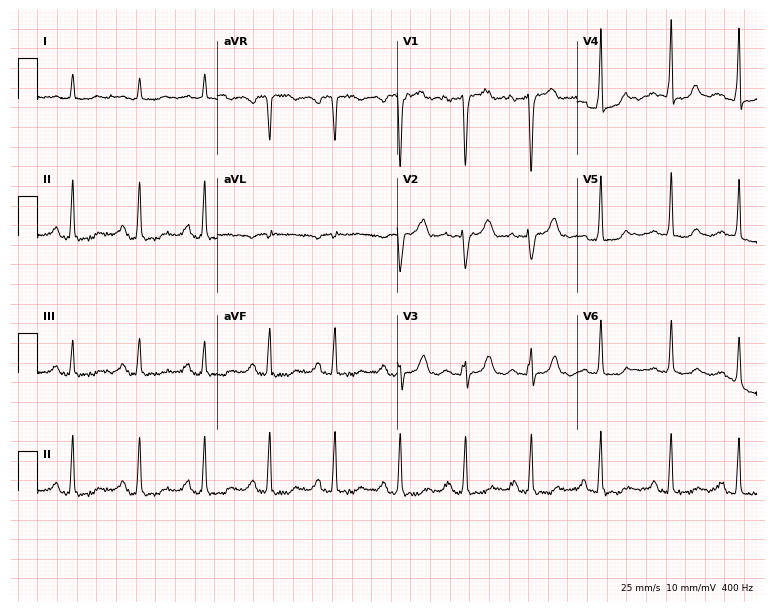
Resting 12-lead electrocardiogram (7.3-second recording at 400 Hz). Patient: a female, 55 years old. None of these six findings is recorded: first-degree AV block, right bundle branch block, left bundle branch block, sinus bradycardia, atrial fibrillation, sinus tachycardia.